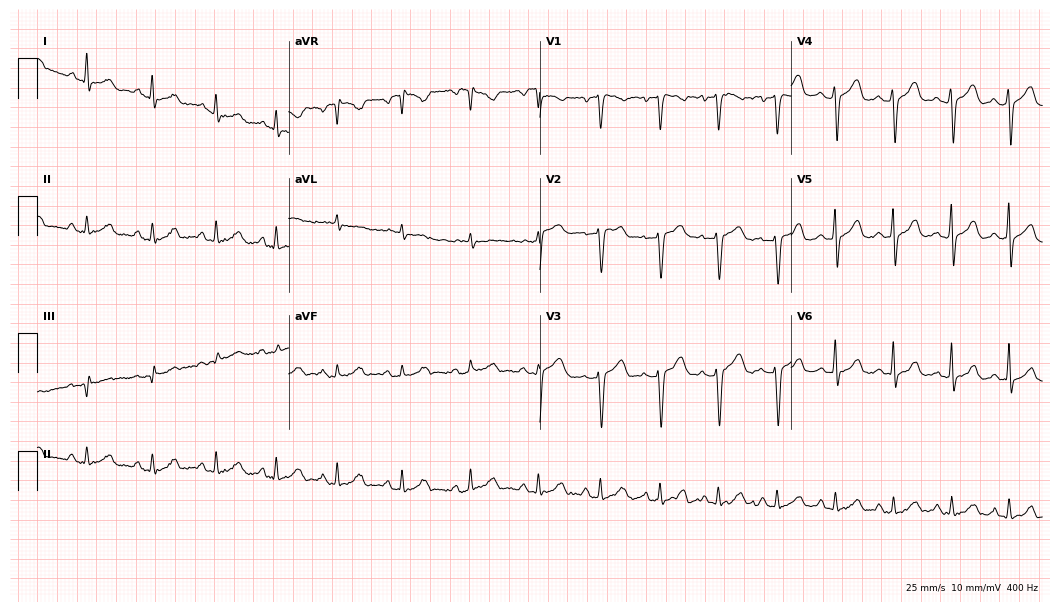
Resting 12-lead electrocardiogram. Patient: a 38-year-old male. None of these six findings is recorded: first-degree AV block, right bundle branch block, left bundle branch block, sinus bradycardia, atrial fibrillation, sinus tachycardia. Findings outside these six are not listed.